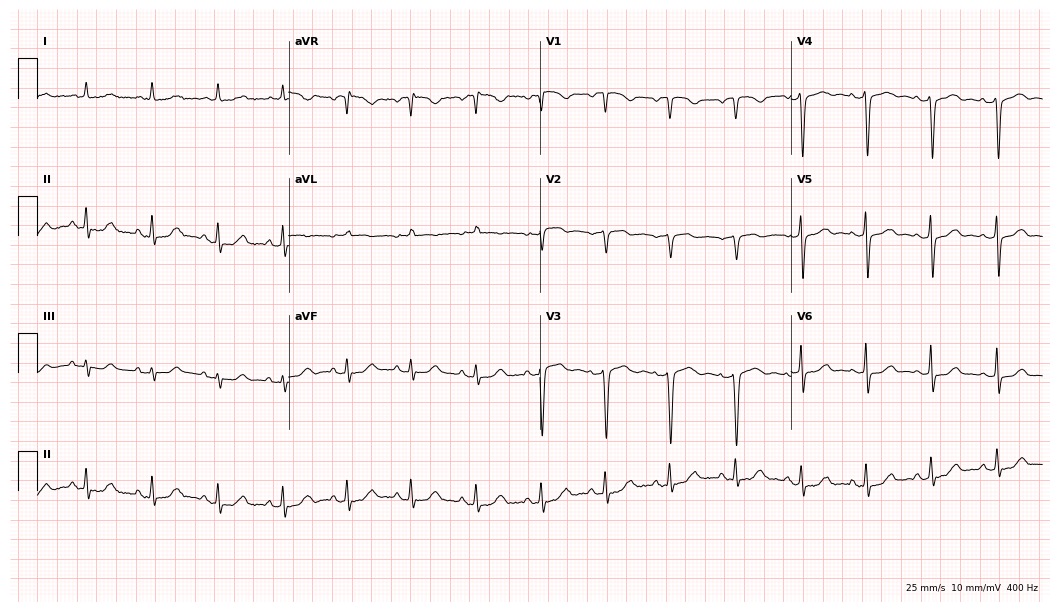
Electrocardiogram (10.2-second recording at 400 Hz), a woman, 63 years old. Of the six screened findings (first-degree AV block, right bundle branch block (RBBB), left bundle branch block (LBBB), sinus bradycardia, atrial fibrillation (AF), sinus tachycardia), none is recorded.